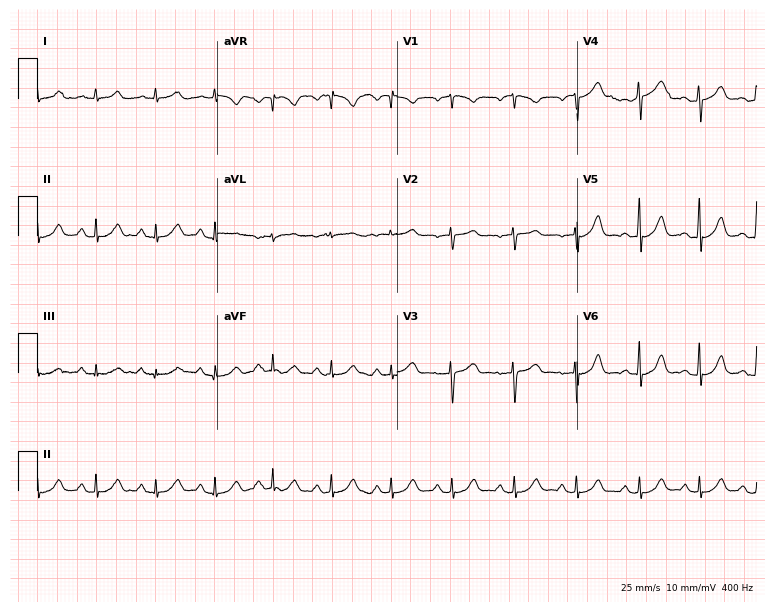
12-lead ECG from a female, 50 years old. Labelled as a normal ECG.